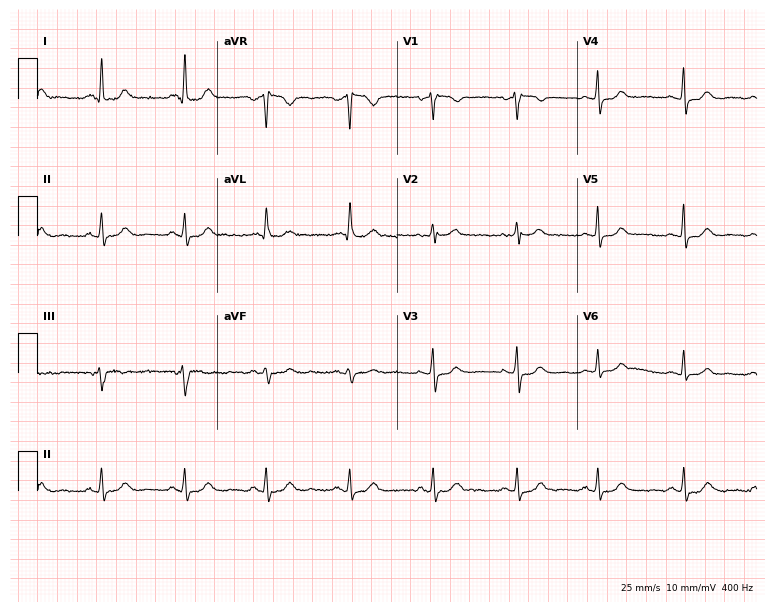
12-lead ECG from a 59-year-old female patient. Labelled as a normal ECG.